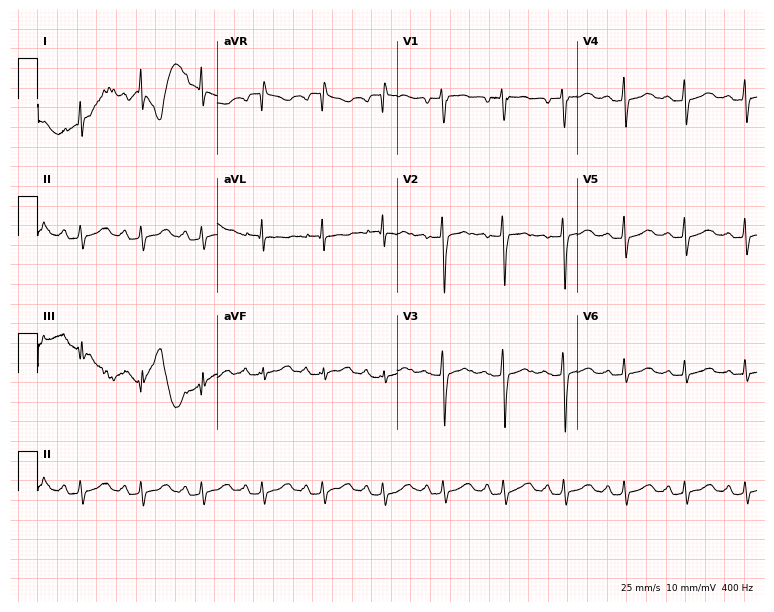
Electrocardiogram (7.3-second recording at 400 Hz), a 42-year-old female patient. Of the six screened findings (first-degree AV block, right bundle branch block, left bundle branch block, sinus bradycardia, atrial fibrillation, sinus tachycardia), none is recorded. Findings outside these six are not listed.